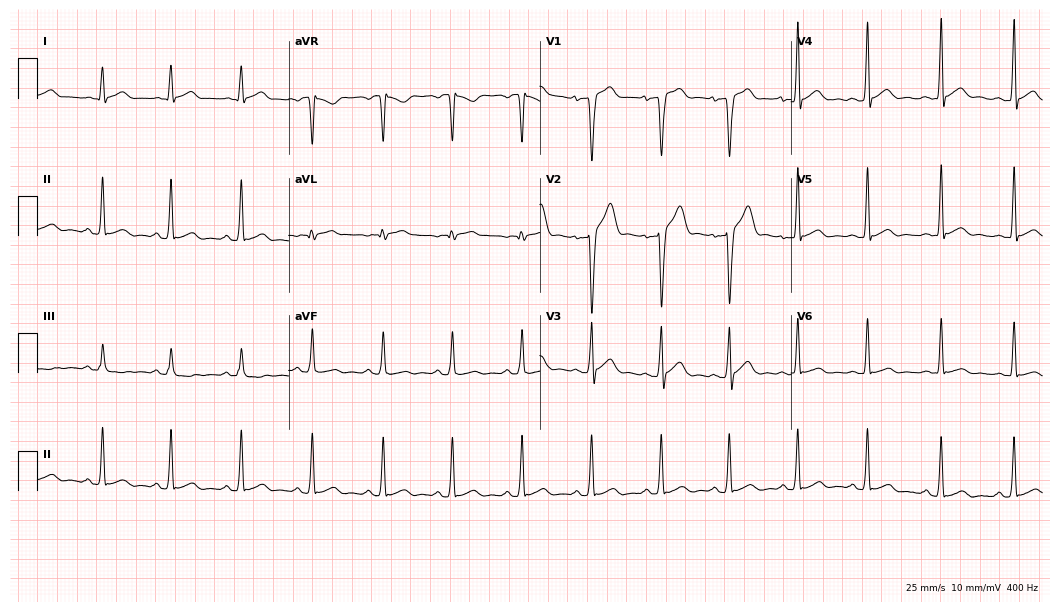
12-lead ECG (10.2-second recording at 400 Hz) from a man, 24 years old. Labelled as a normal ECG.